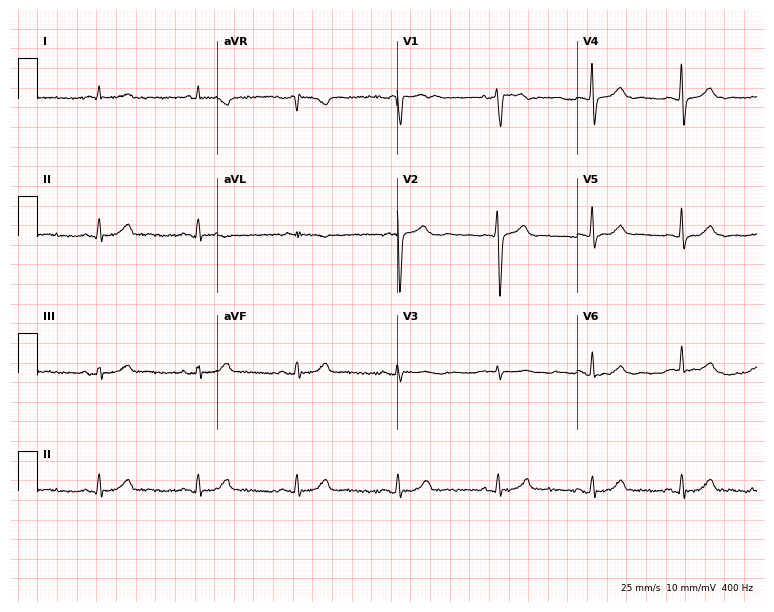
Electrocardiogram, a male patient, 57 years old. Overall reading on record: normal ECG.